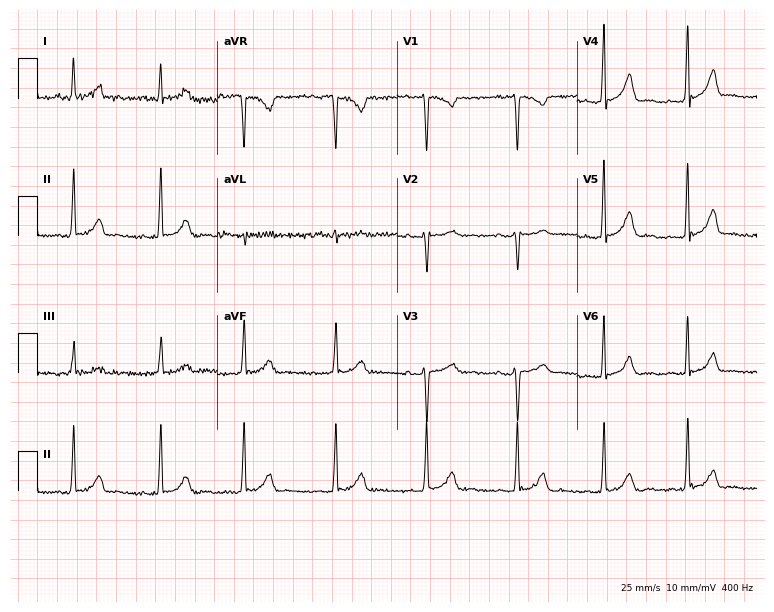
ECG (7.3-second recording at 400 Hz) — a female, 18 years old. Screened for six findings — first-degree AV block, right bundle branch block, left bundle branch block, sinus bradycardia, atrial fibrillation, sinus tachycardia — none is recorded.